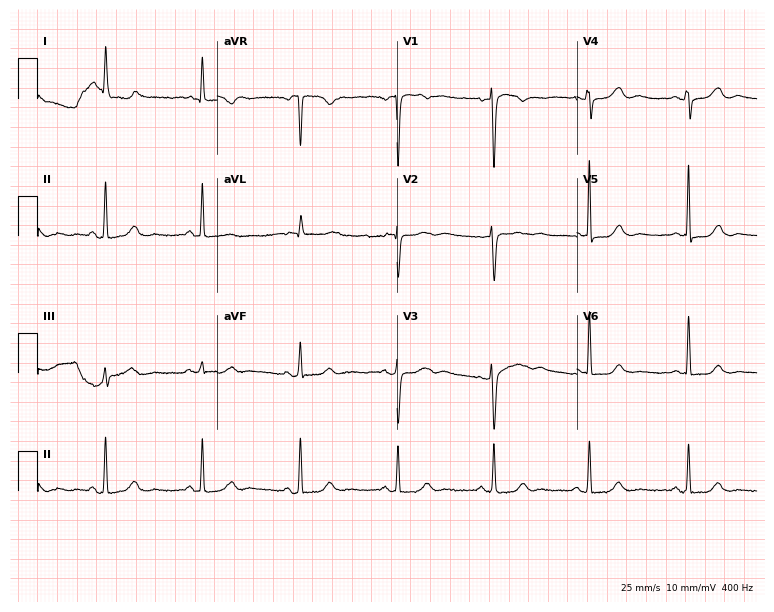
12-lead ECG (7.3-second recording at 400 Hz) from a 78-year-old woman. Labelled as a normal ECG.